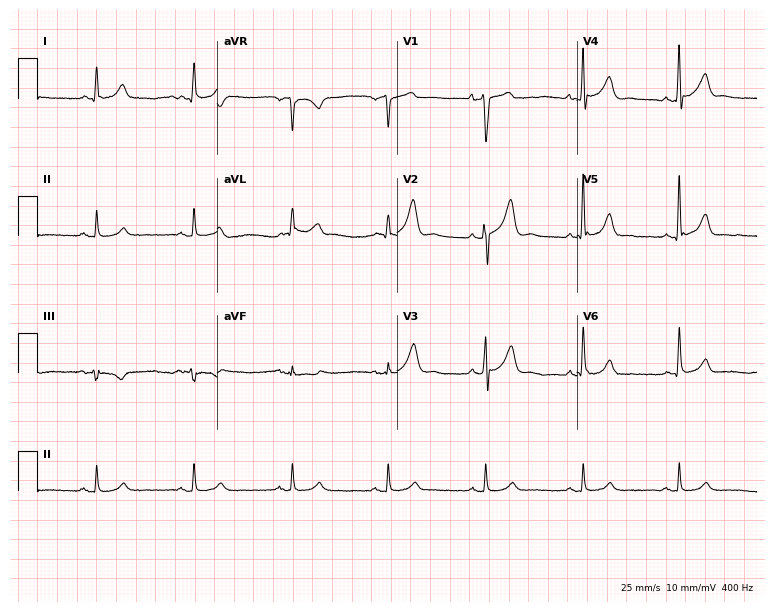
ECG (7.3-second recording at 400 Hz) — a male patient, 55 years old. Labelled as a normal ECG.